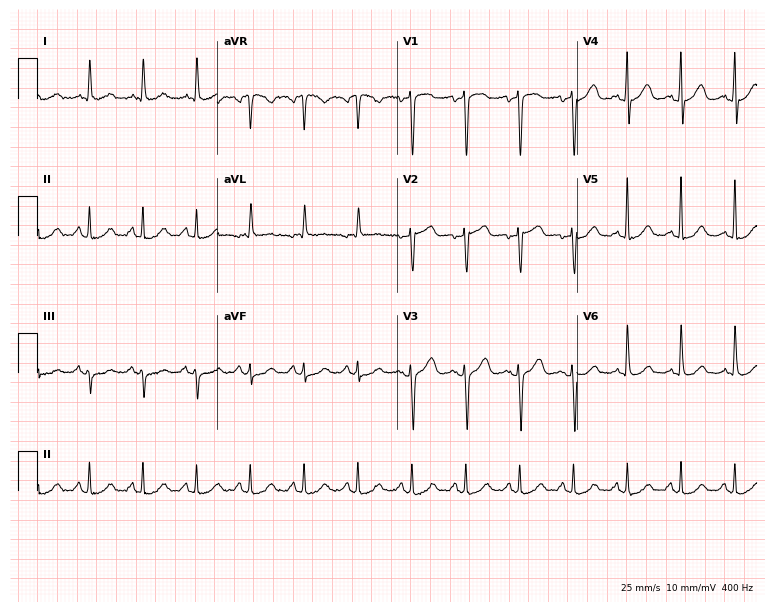
Electrocardiogram (7.3-second recording at 400 Hz), a female patient, 53 years old. Interpretation includes sinus tachycardia (a sinus rate of 100 beats per minute or more).